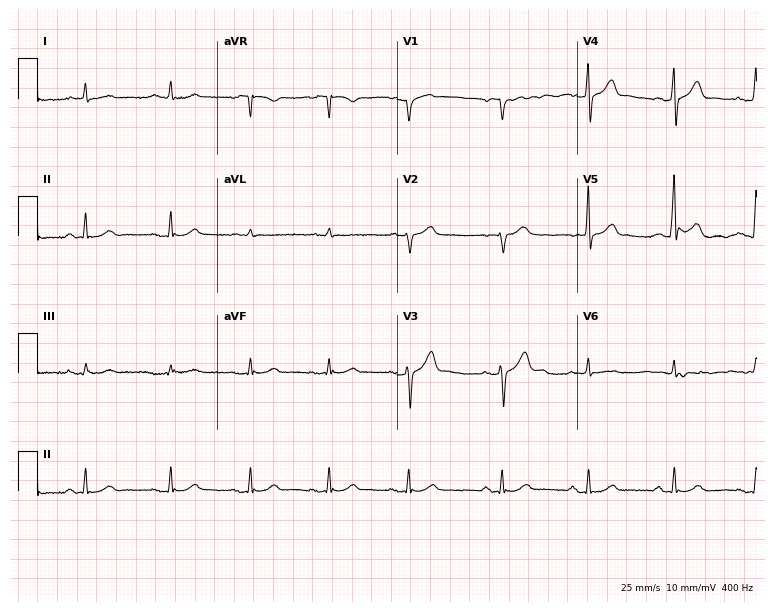
ECG (7.3-second recording at 400 Hz) — a 73-year-old male patient. Screened for six findings — first-degree AV block, right bundle branch block (RBBB), left bundle branch block (LBBB), sinus bradycardia, atrial fibrillation (AF), sinus tachycardia — none is recorded.